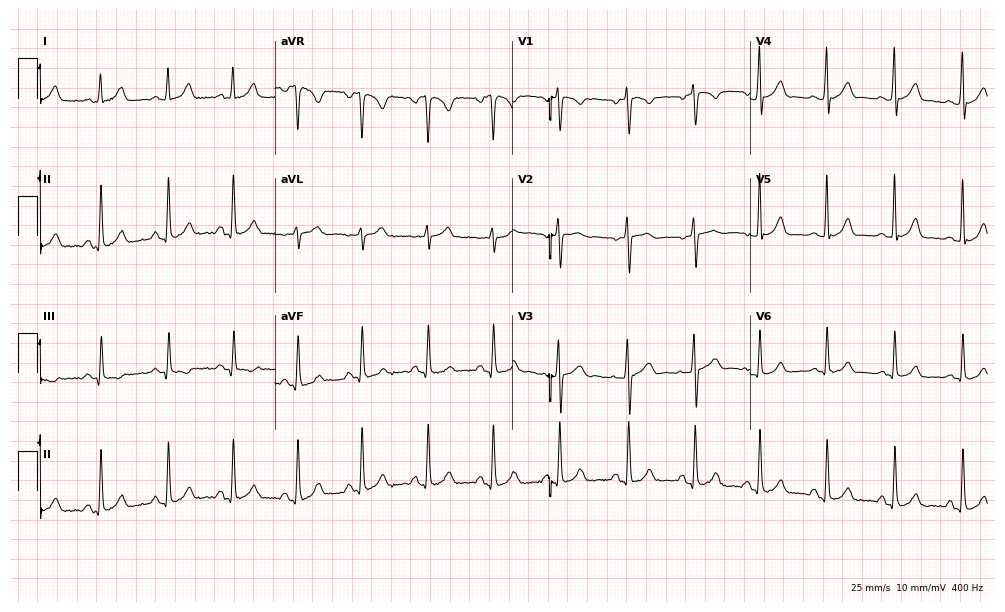
12-lead ECG from a 21-year-old woman (9.7-second recording at 400 Hz). Recorded interpretation: within normal limits.